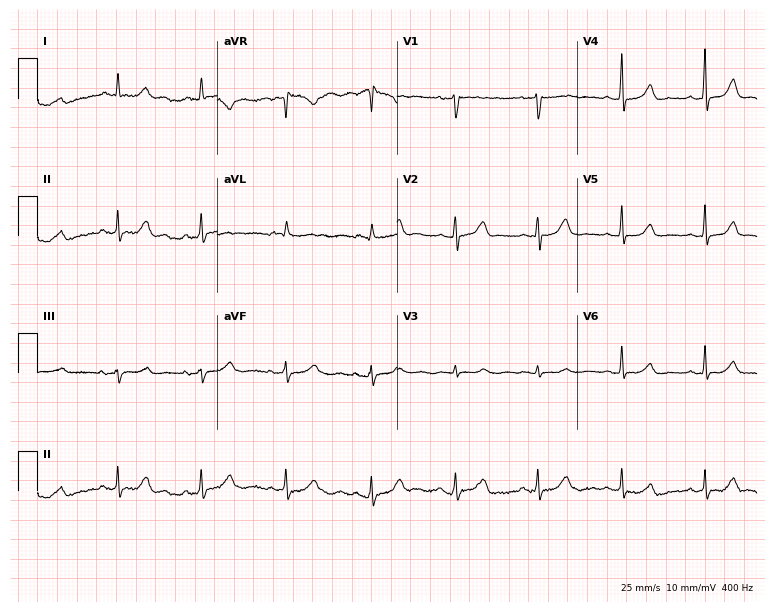
ECG — a female, 56 years old. Labelled as a normal ECG.